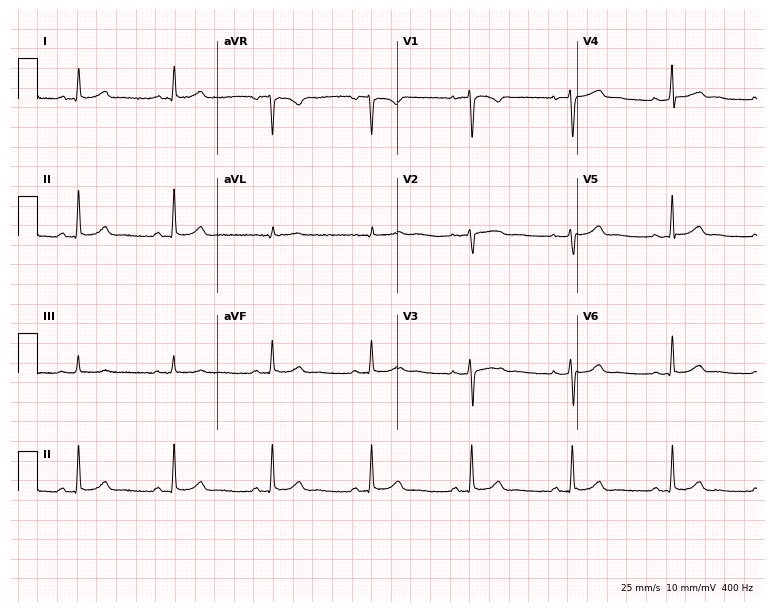
Resting 12-lead electrocardiogram. Patient: a female, 21 years old. Read as a normal ECG.